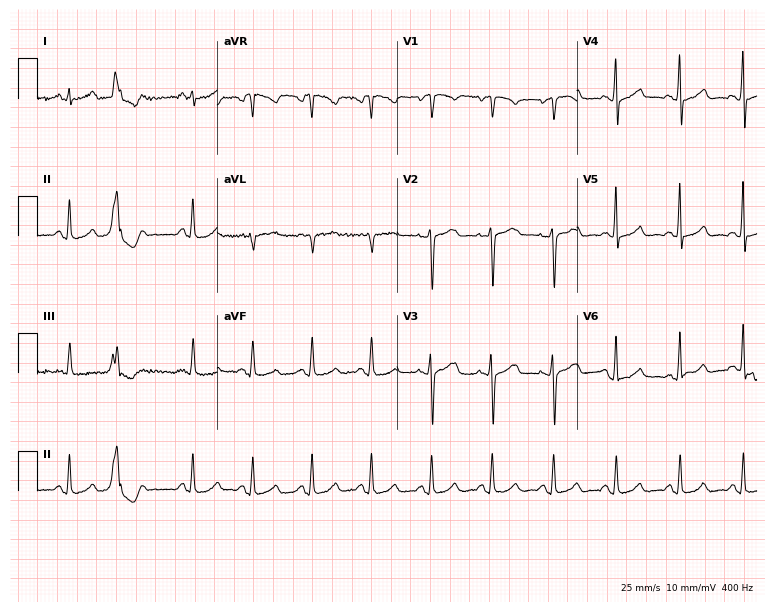
12-lead ECG from a female, 41 years old. Screened for six findings — first-degree AV block, right bundle branch block, left bundle branch block, sinus bradycardia, atrial fibrillation, sinus tachycardia — none is recorded. Findings outside these six are not listed.